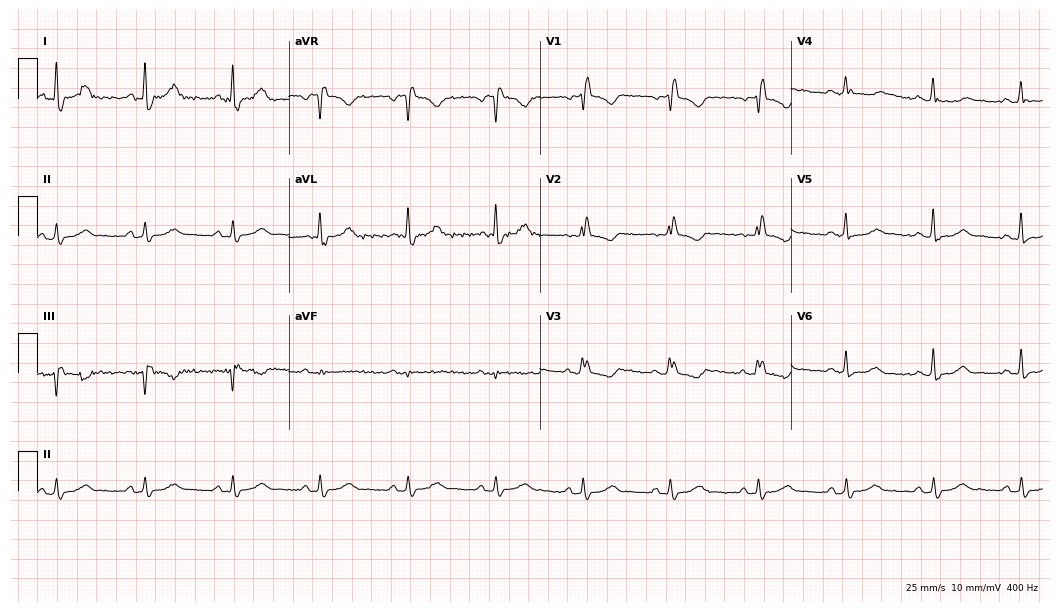
12-lead ECG from a 52-year-old female (10.2-second recording at 400 Hz). Shows right bundle branch block (RBBB).